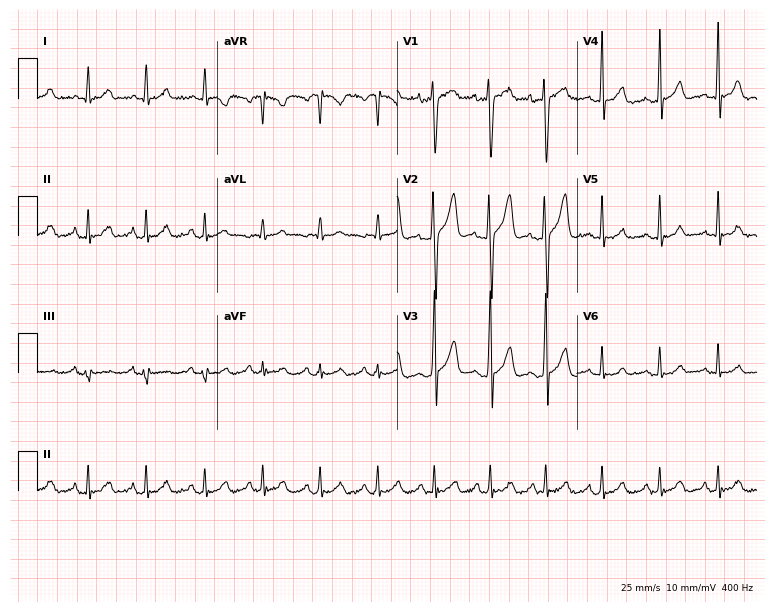
ECG — a 21-year-old male patient. Findings include sinus tachycardia (a sinus rate of 100 beats per minute or more).